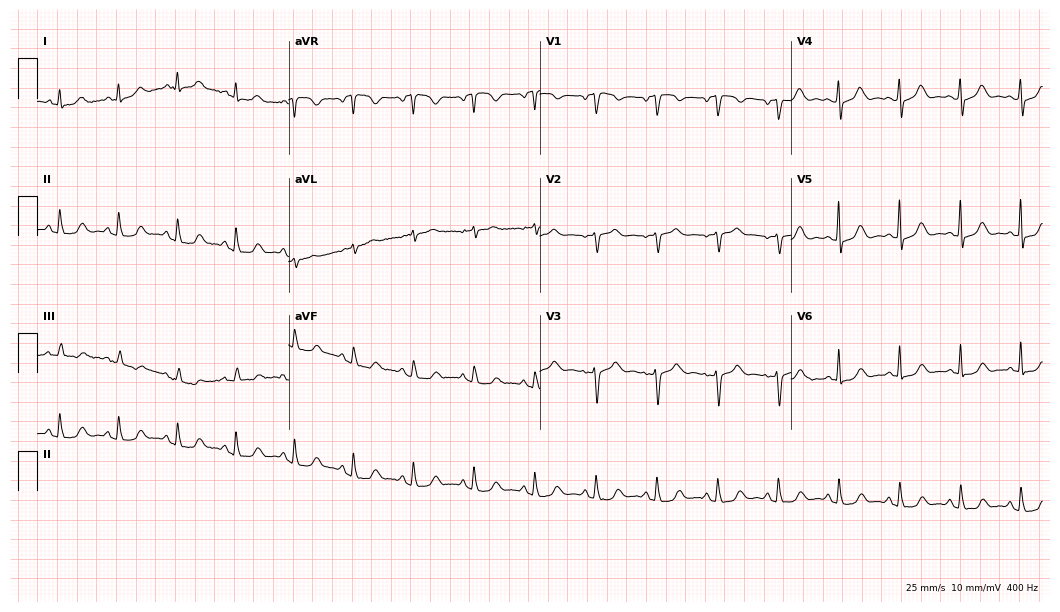
Electrocardiogram, a 74-year-old female. Of the six screened findings (first-degree AV block, right bundle branch block, left bundle branch block, sinus bradycardia, atrial fibrillation, sinus tachycardia), none is recorded.